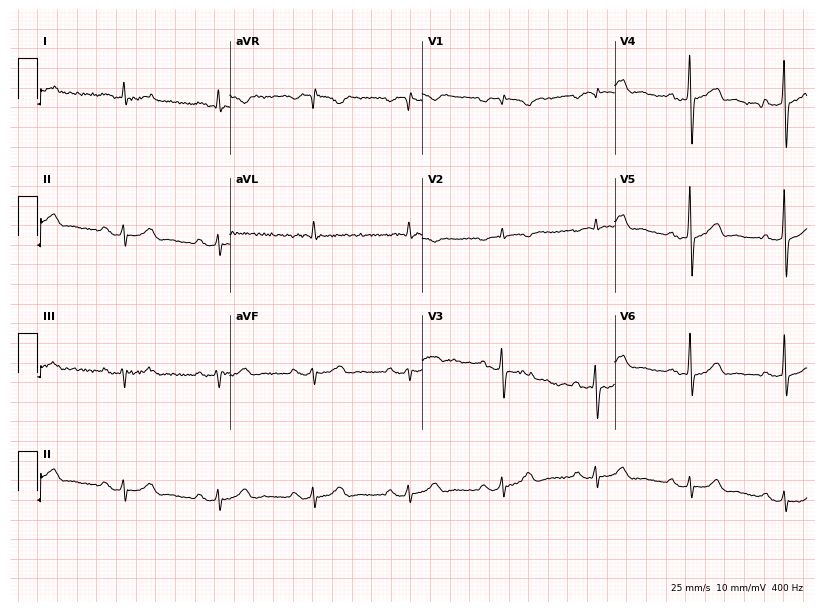
12-lead ECG from a male, 78 years old. No first-degree AV block, right bundle branch block (RBBB), left bundle branch block (LBBB), sinus bradycardia, atrial fibrillation (AF) or sinus tachycardia recorded for this tracing.